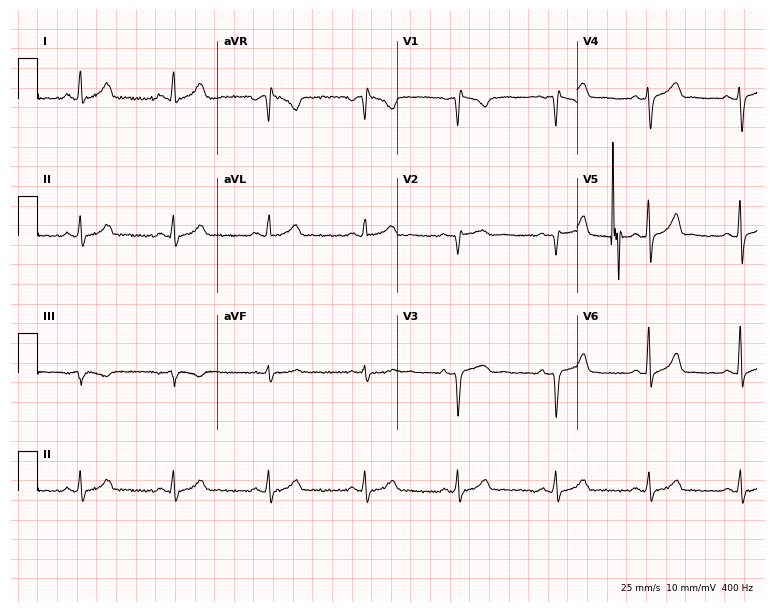
12-lead ECG from a female patient, 31 years old. No first-degree AV block, right bundle branch block (RBBB), left bundle branch block (LBBB), sinus bradycardia, atrial fibrillation (AF) or sinus tachycardia recorded for this tracing.